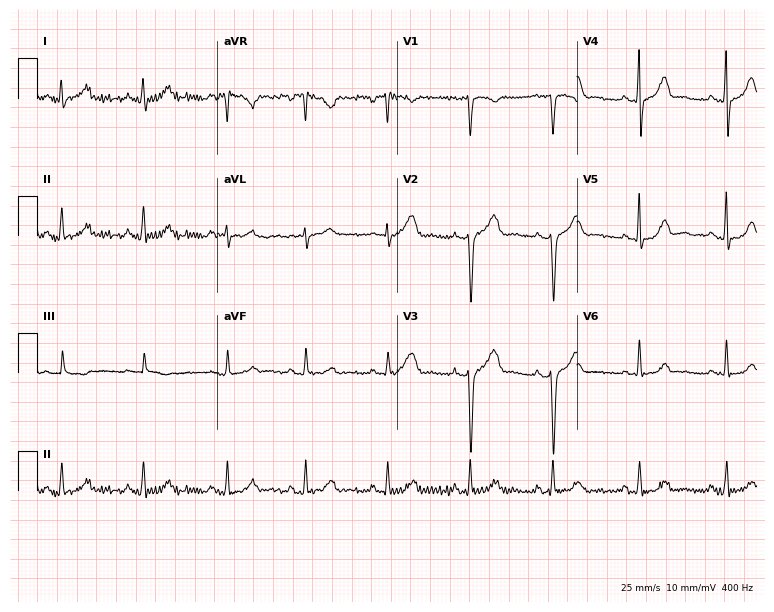
12-lead ECG (7.3-second recording at 400 Hz) from a female, 31 years old. Screened for six findings — first-degree AV block, right bundle branch block, left bundle branch block, sinus bradycardia, atrial fibrillation, sinus tachycardia — none is recorded. Only these six findings were labelled.